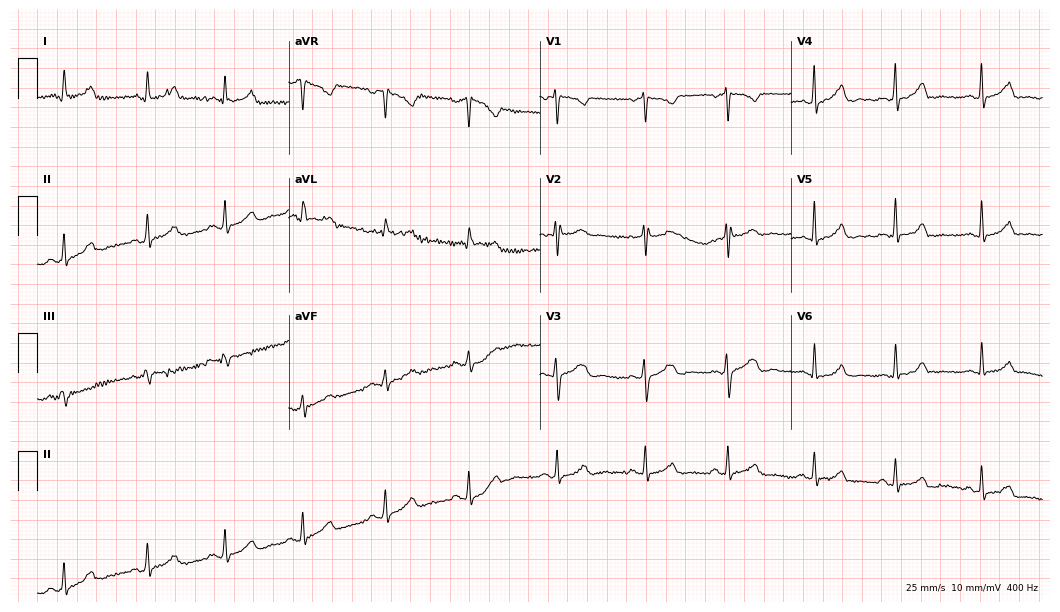
Resting 12-lead electrocardiogram. Patient: a female, 41 years old. Read as a normal ECG.